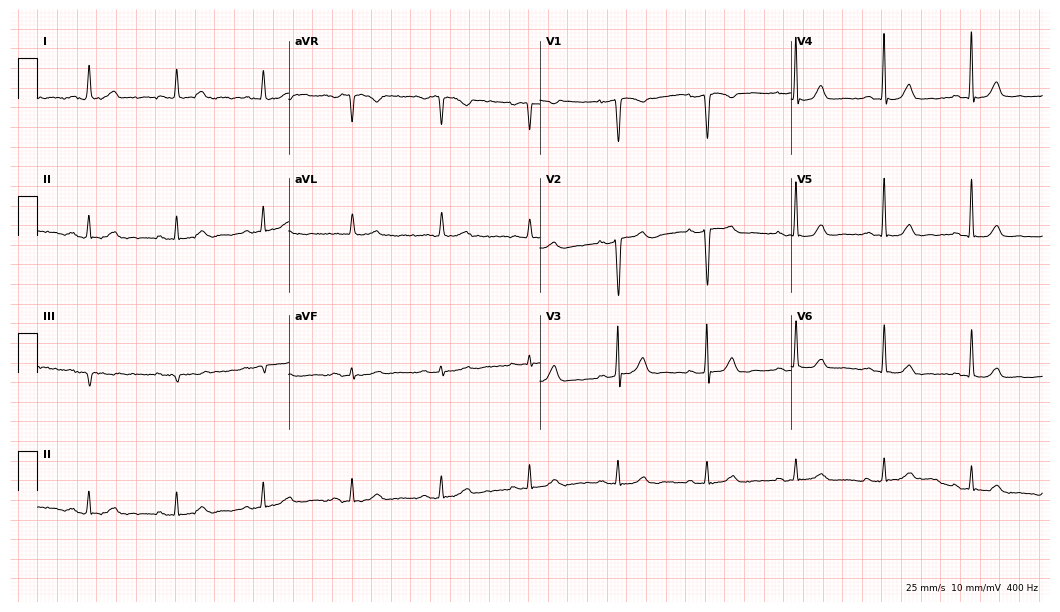
Standard 12-lead ECG recorded from a 41-year-old female patient (10.2-second recording at 400 Hz). Read as a normal ECG.